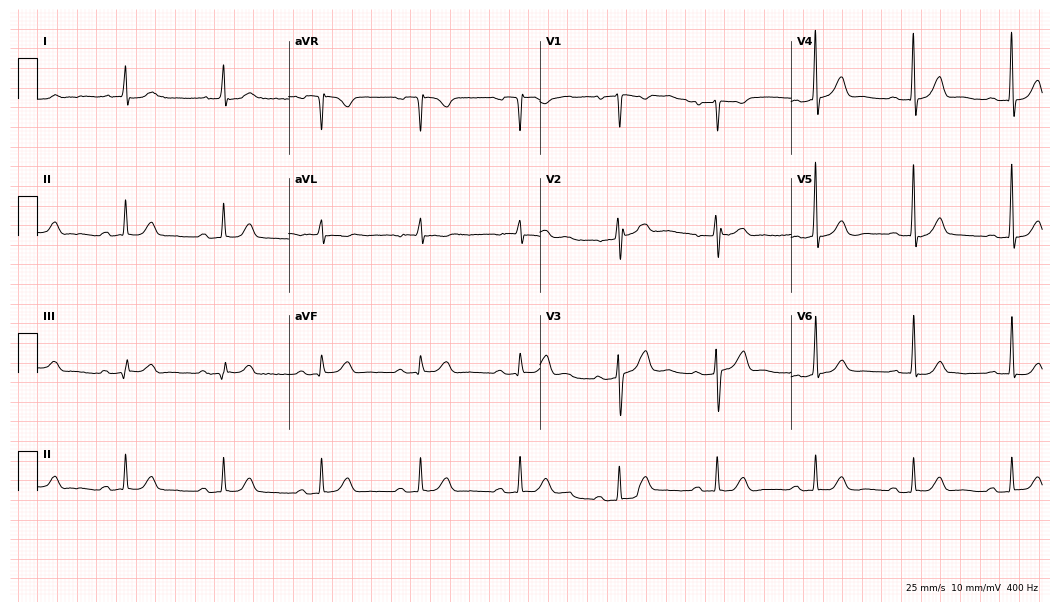
Standard 12-lead ECG recorded from a 66-year-old female patient (10.2-second recording at 400 Hz). Read as a normal ECG.